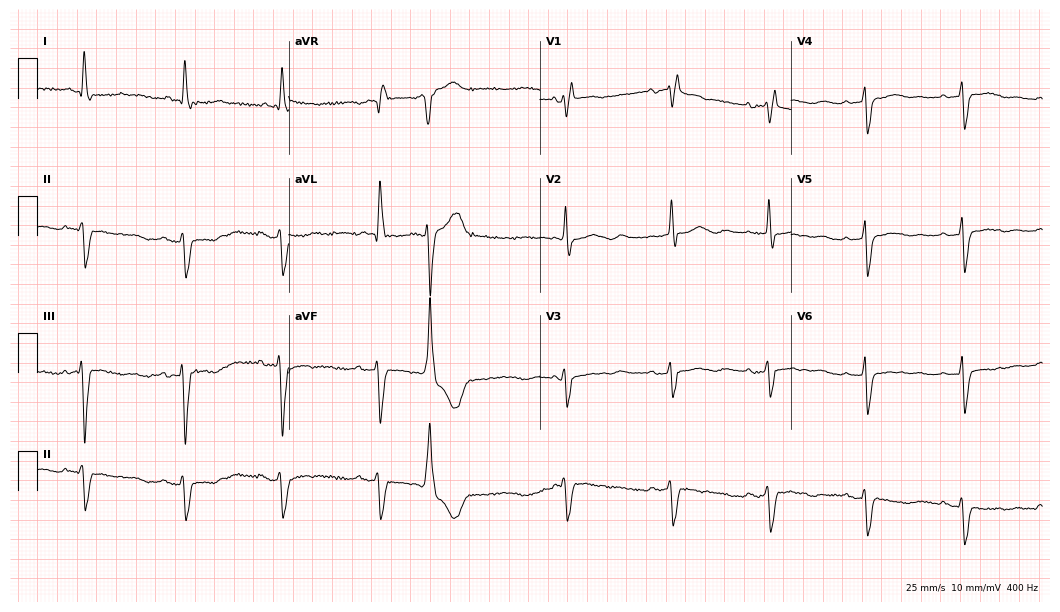
Electrocardiogram (10.2-second recording at 400 Hz), a 65-year-old woman. Interpretation includes right bundle branch block.